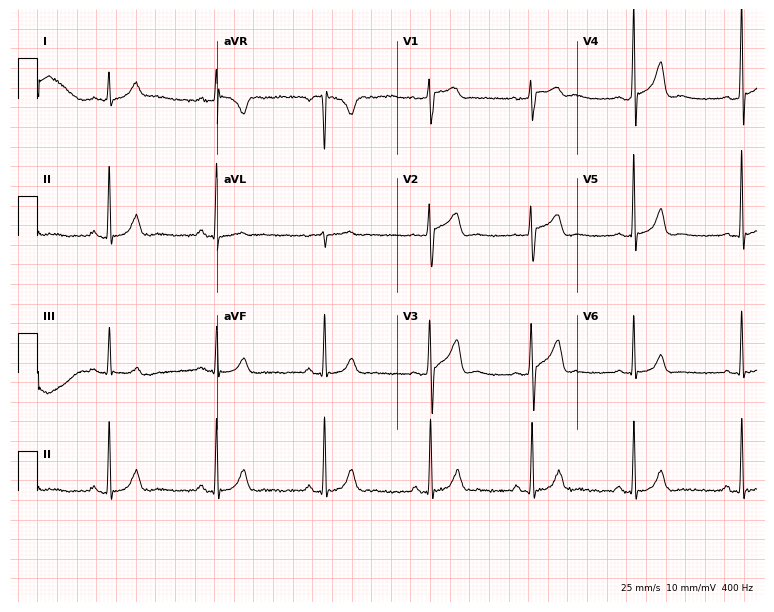
Resting 12-lead electrocardiogram. Patient: a 66-year-old male. Read as a normal ECG.